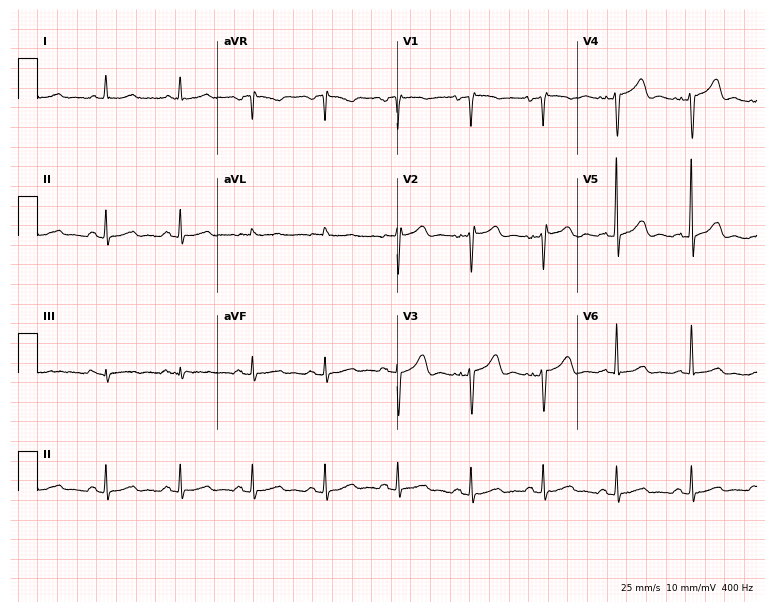
Resting 12-lead electrocardiogram (7.3-second recording at 400 Hz). Patient: a 54-year-old woman. Read as a normal ECG.